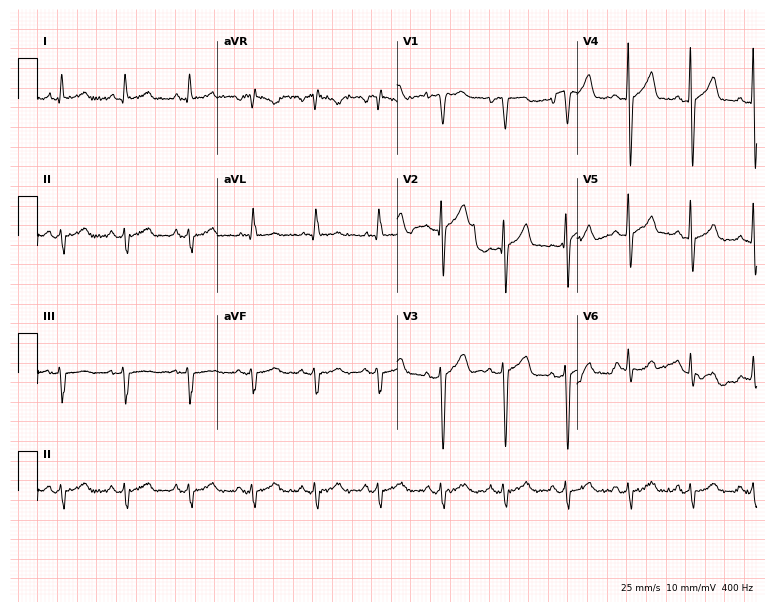
Resting 12-lead electrocardiogram (7.3-second recording at 400 Hz). Patient: a 70-year-old male. None of these six findings is recorded: first-degree AV block, right bundle branch block, left bundle branch block, sinus bradycardia, atrial fibrillation, sinus tachycardia. Only these six findings were labelled.